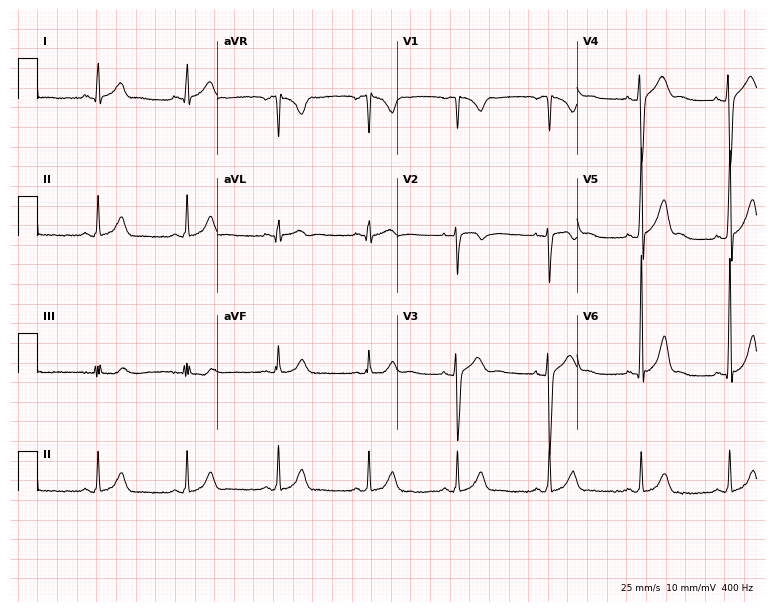
12-lead ECG from a 25-year-old man. Labelled as a normal ECG.